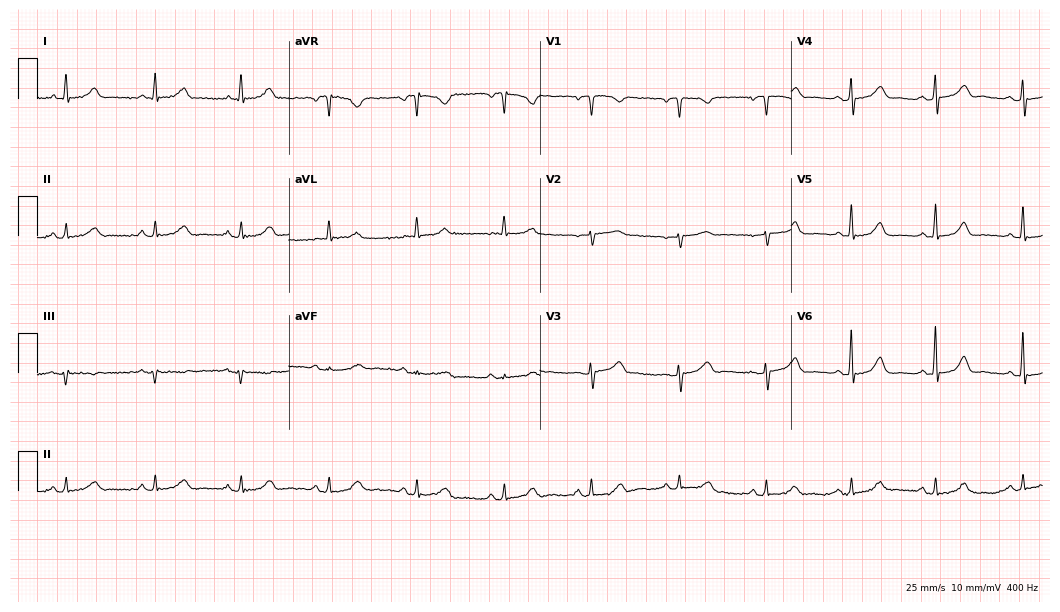
ECG — a 70-year-old female. Screened for six findings — first-degree AV block, right bundle branch block, left bundle branch block, sinus bradycardia, atrial fibrillation, sinus tachycardia — none is recorded.